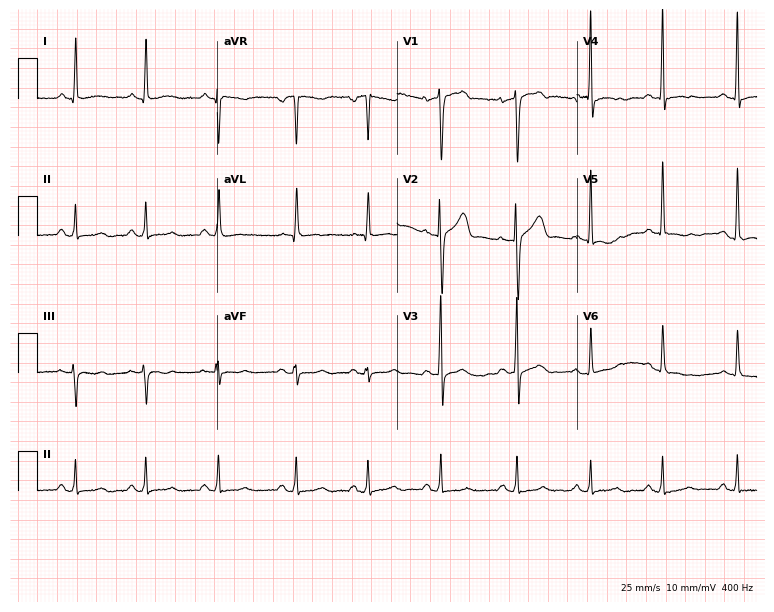
ECG — a 55-year-old man. Screened for six findings — first-degree AV block, right bundle branch block (RBBB), left bundle branch block (LBBB), sinus bradycardia, atrial fibrillation (AF), sinus tachycardia — none is recorded.